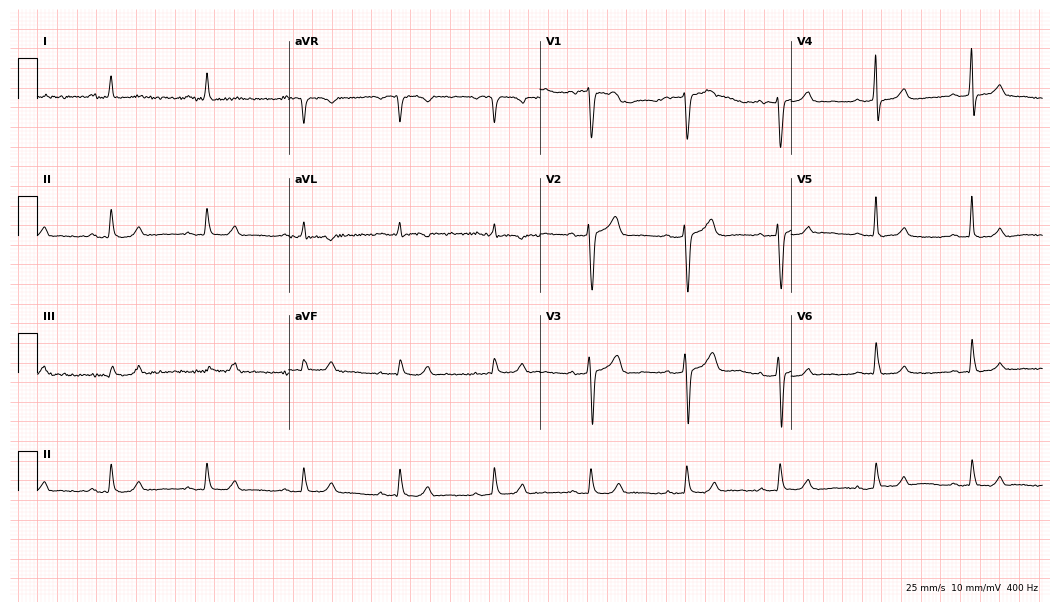
Electrocardiogram, a 58-year-old female. Of the six screened findings (first-degree AV block, right bundle branch block, left bundle branch block, sinus bradycardia, atrial fibrillation, sinus tachycardia), none is recorded. Other findings, if any, are not listed.